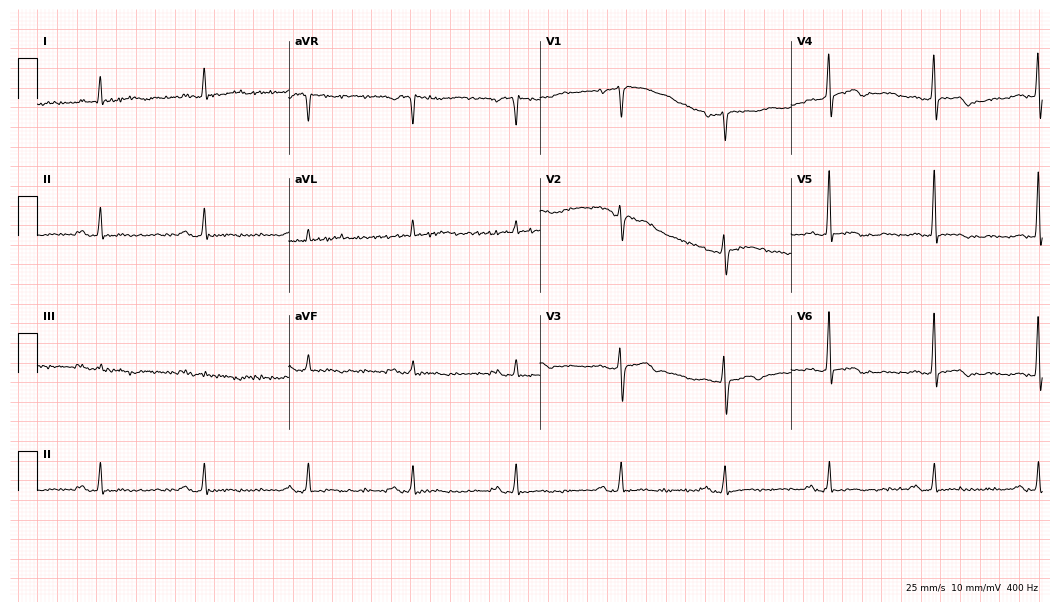
Standard 12-lead ECG recorded from a 71-year-old man. None of these six findings is recorded: first-degree AV block, right bundle branch block, left bundle branch block, sinus bradycardia, atrial fibrillation, sinus tachycardia.